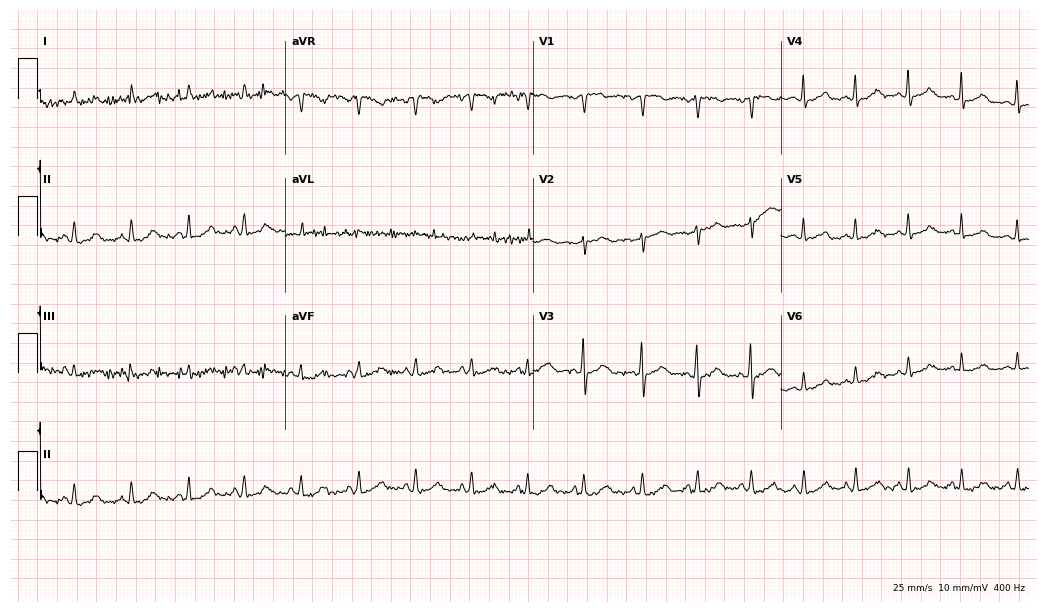
Electrocardiogram (10.1-second recording at 400 Hz), a female patient, 36 years old. Of the six screened findings (first-degree AV block, right bundle branch block, left bundle branch block, sinus bradycardia, atrial fibrillation, sinus tachycardia), none is recorded.